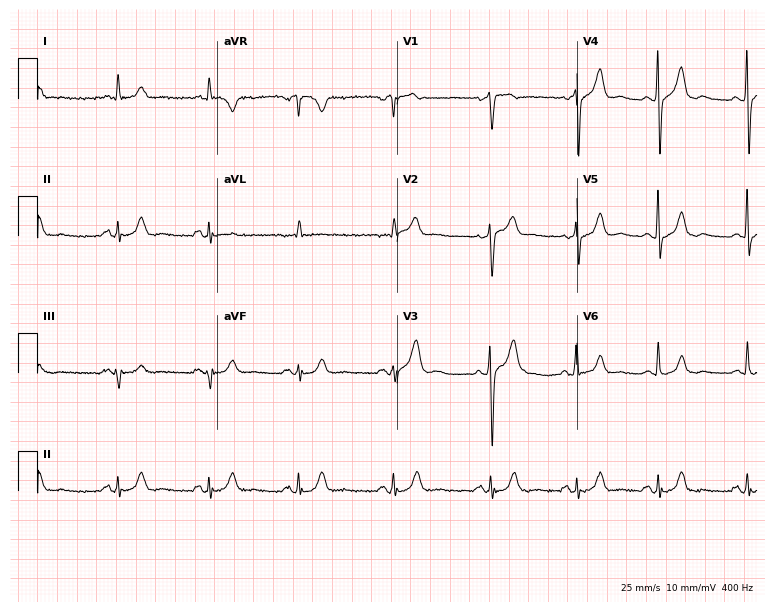
12-lead ECG from a male patient, 59 years old. Labelled as a normal ECG.